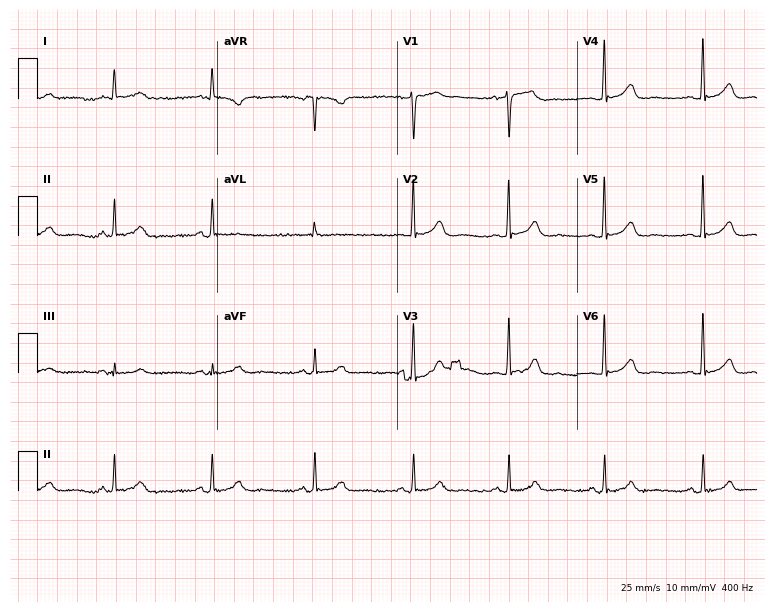
12-lead ECG from a male patient, 65 years old. Screened for six findings — first-degree AV block, right bundle branch block, left bundle branch block, sinus bradycardia, atrial fibrillation, sinus tachycardia — none is recorded.